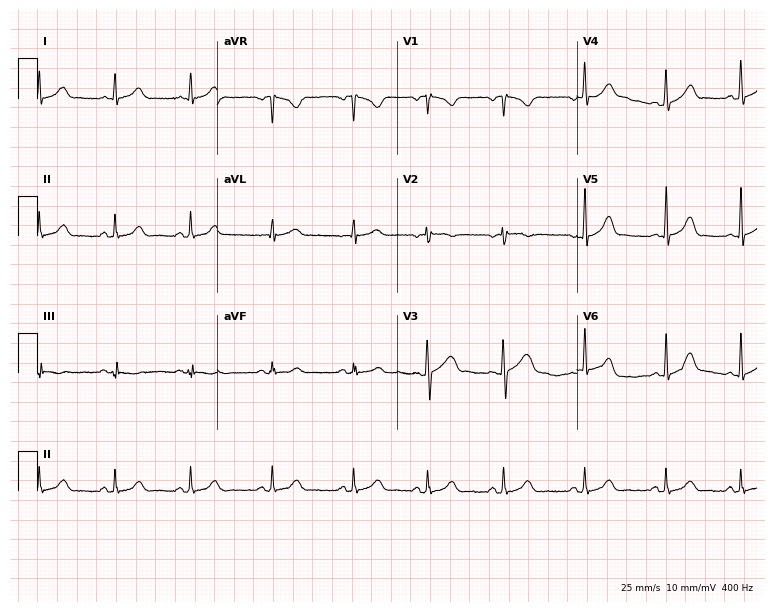
12-lead ECG from a 19-year-old woman (7.3-second recording at 400 Hz). No first-degree AV block, right bundle branch block (RBBB), left bundle branch block (LBBB), sinus bradycardia, atrial fibrillation (AF) or sinus tachycardia recorded for this tracing.